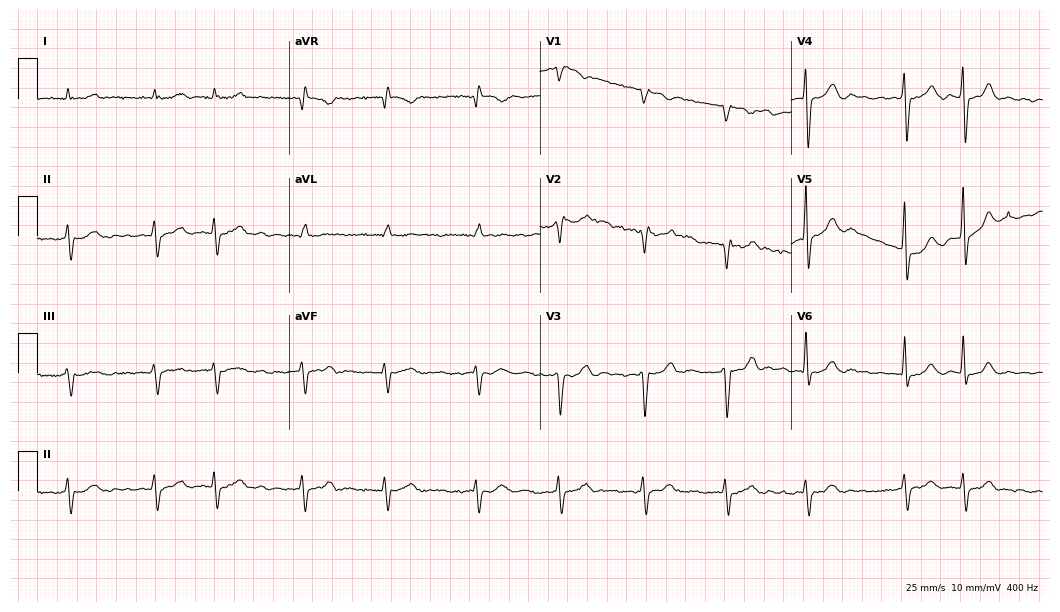
Standard 12-lead ECG recorded from a 75-year-old male. The tracing shows atrial fibrillation (AF).